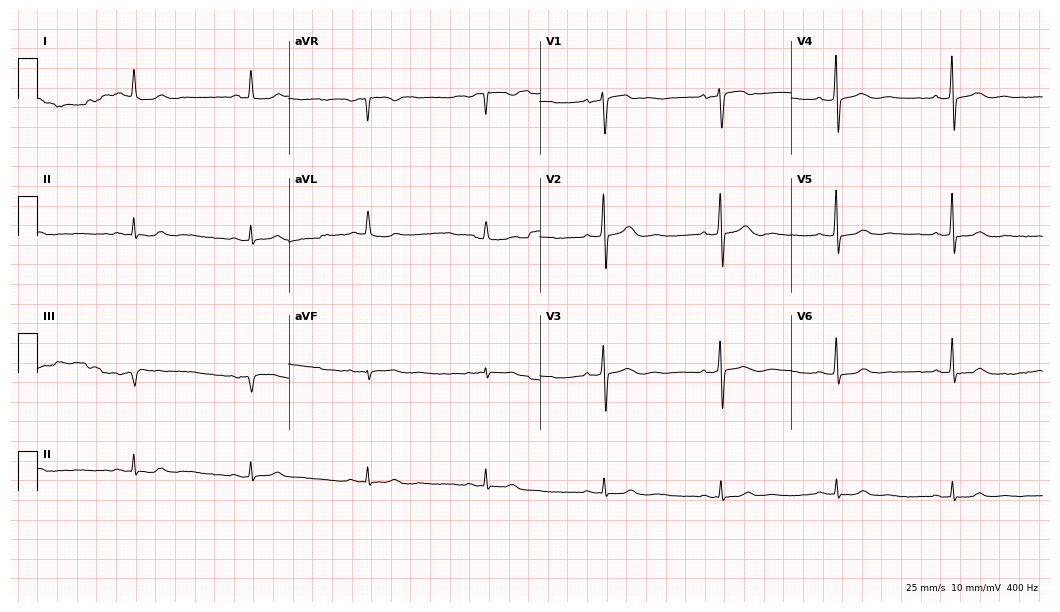
Standard 12-lead ECG recorded from a 75-year-old male patient (10.2-second recording at 400 Hz). None of these six findings is recorded: first-degree AV block, right bundle branch block, left bundle branch block, sinus bradycardia, atrial fibrillation, sinus tachycardia. Other findings, if any, are not listed.